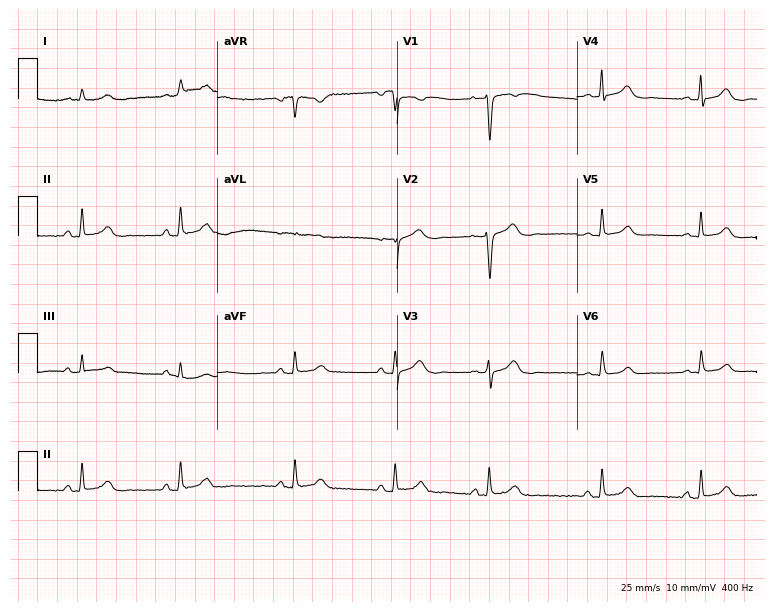
Standard 12-lead ECG recorded from a 27-year-old woman (7.3-second recording at 400 Hz). None of these six findings is recorded: first-degree AV block, right bundle branch block, left bundle branch block, sinus bradycardia, atrial fibrillation, sinus tachycardia.